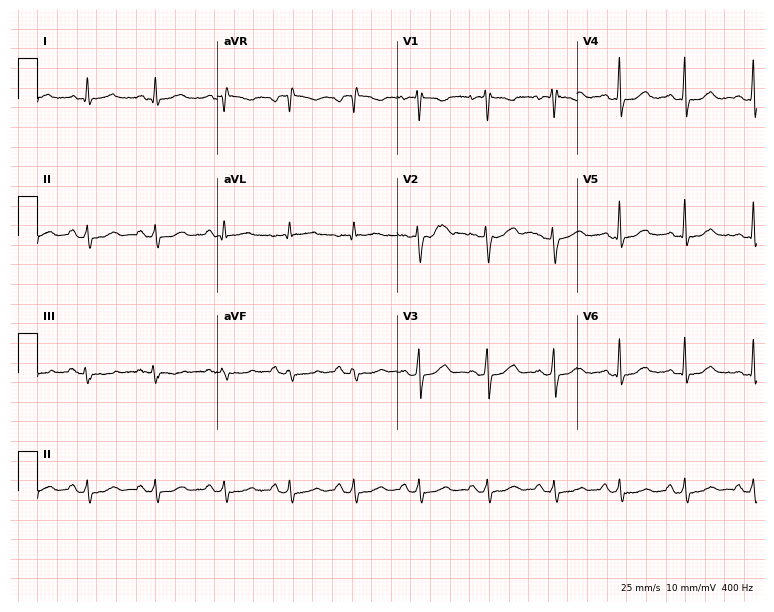
Standard 12-lead ECG recorded from a 34-year-old female patient (7.3-second recording at 400 Hz). None of these six findings is recorded: first-degree AV block, right bundle branch block, left bundle branch block, sinus bradycardia, atrial fibrillation, sinus tachycardia.